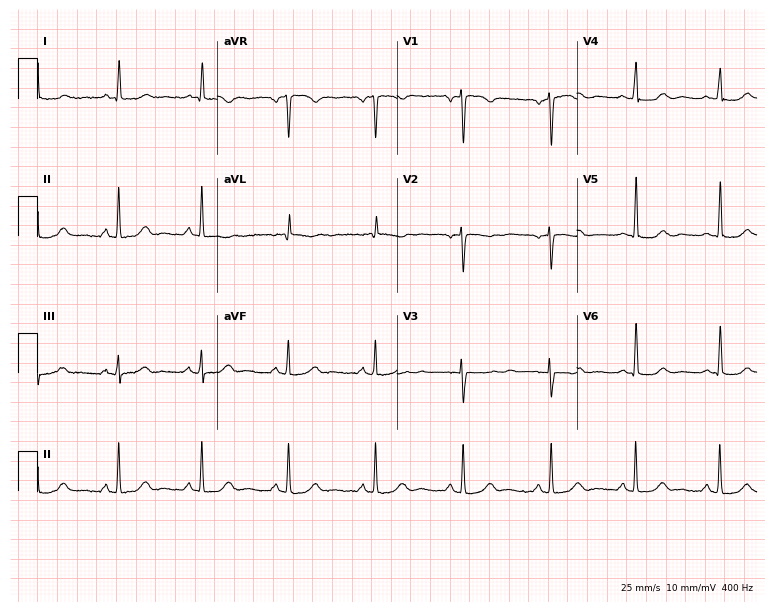
12-lead ECG from a 50-year-old woman (7.3-second recording at 400 Hz). Recorded interpretation: within normal limits.